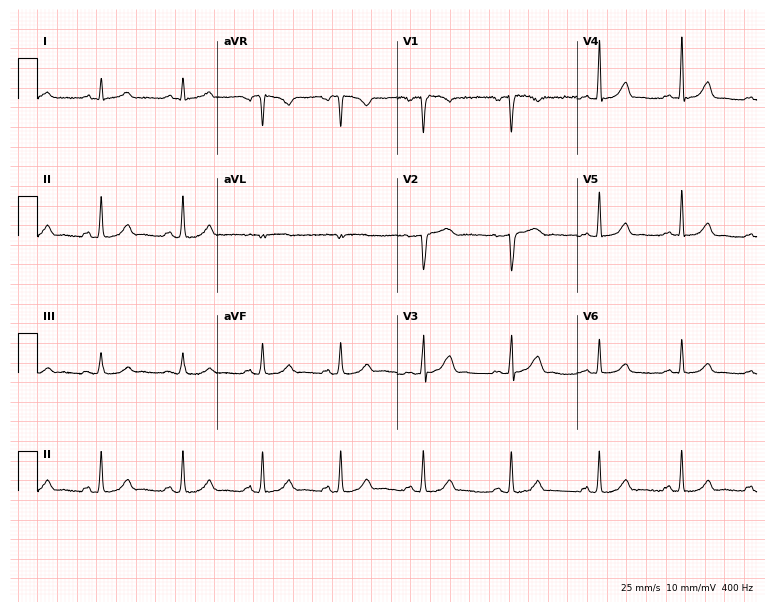
Standard 12-lead ECG recorded from a female patient, 43 years old (7.3-second recording at 400 Hz). Read as a normal ECG.